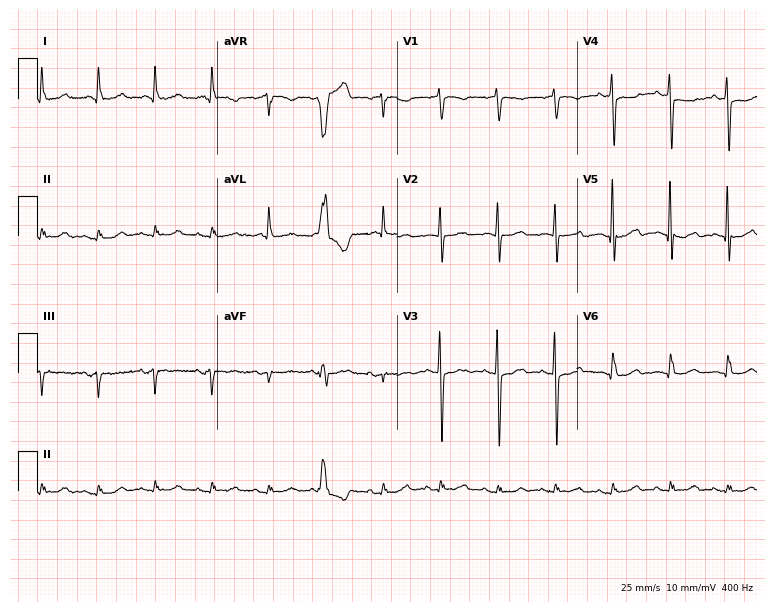
ECG (7.3-second recording at 400 Hz) — an 85-year-old female patient. Screened for six findings — first-degree AV block, right bundle branch block, left bundle branch block, sinus bradycardia, atrial fibrillation, sinus tachycardia — none is recorded. Findings outside these six are not listed.